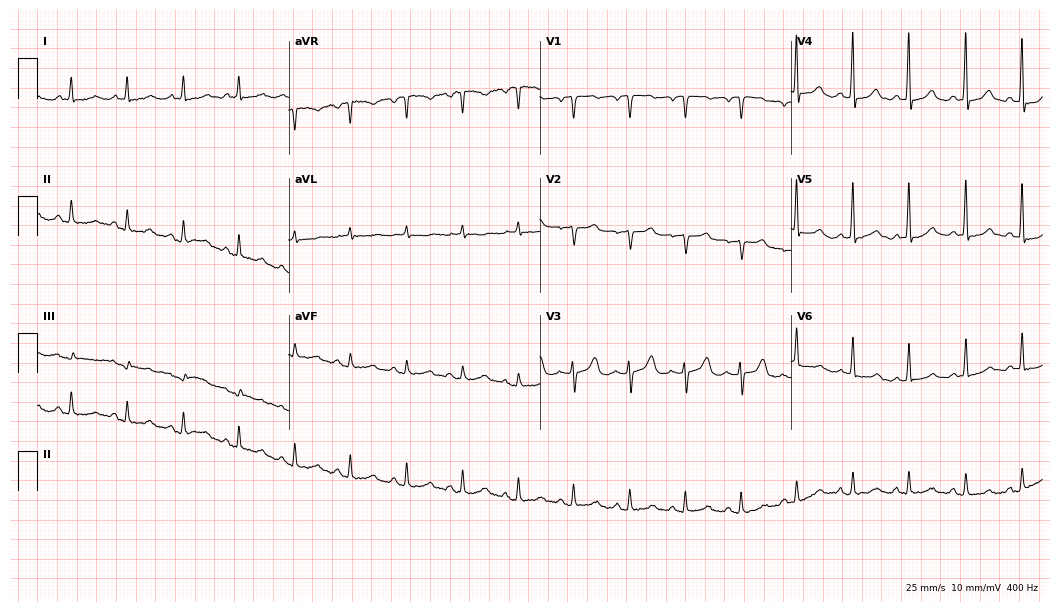
12-lead ECG (10.2-second recording at 400 Hz) from a woman, 76 years old. Findings include sinus tachycardia (a sinus rate of 100 beats per minute or more).